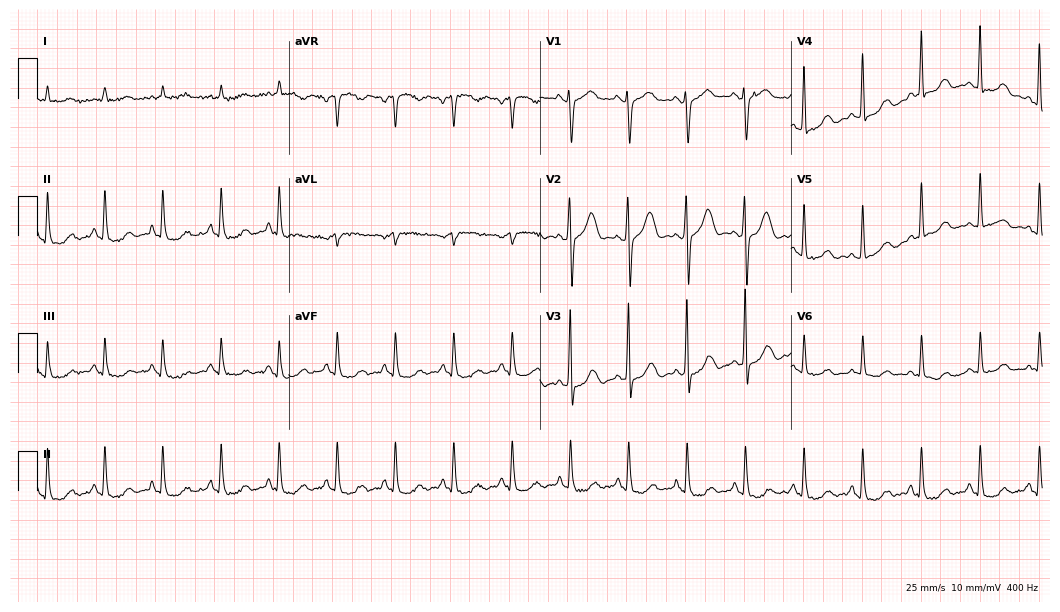
ECG — a 54-year-old man. Screened for six findings — first-degree AV block, right bundle branch block (RBBB), left bundle branch block (LBBB), sinus bradycardia, atrial fibrillation (AF), sinus tachycardia — none is recorded.